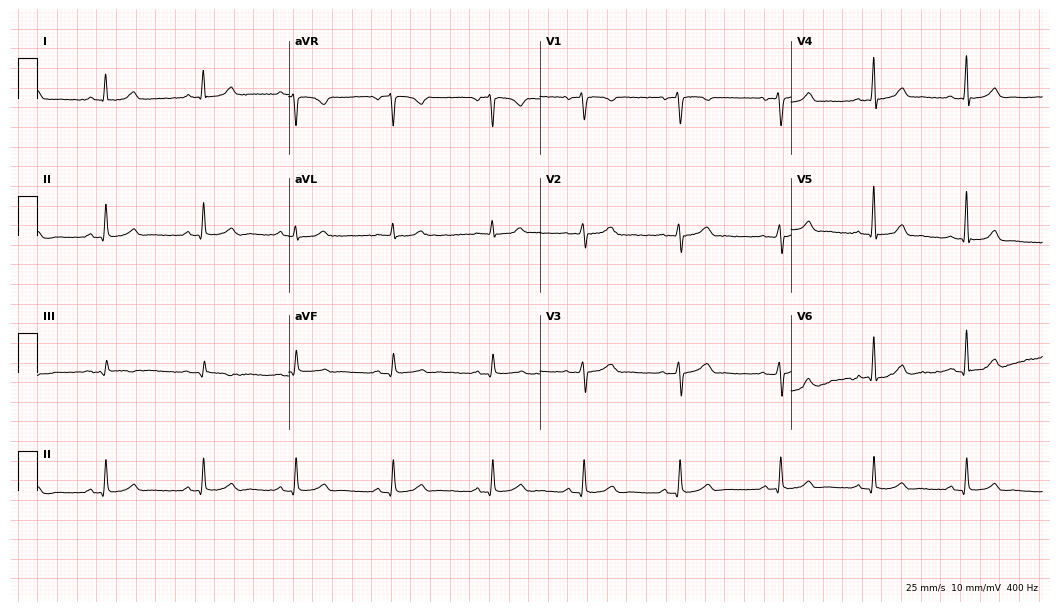
Resting 12-lead electrocardiogram. Patient: a 50-year-old woman. Read as a normal ECG.